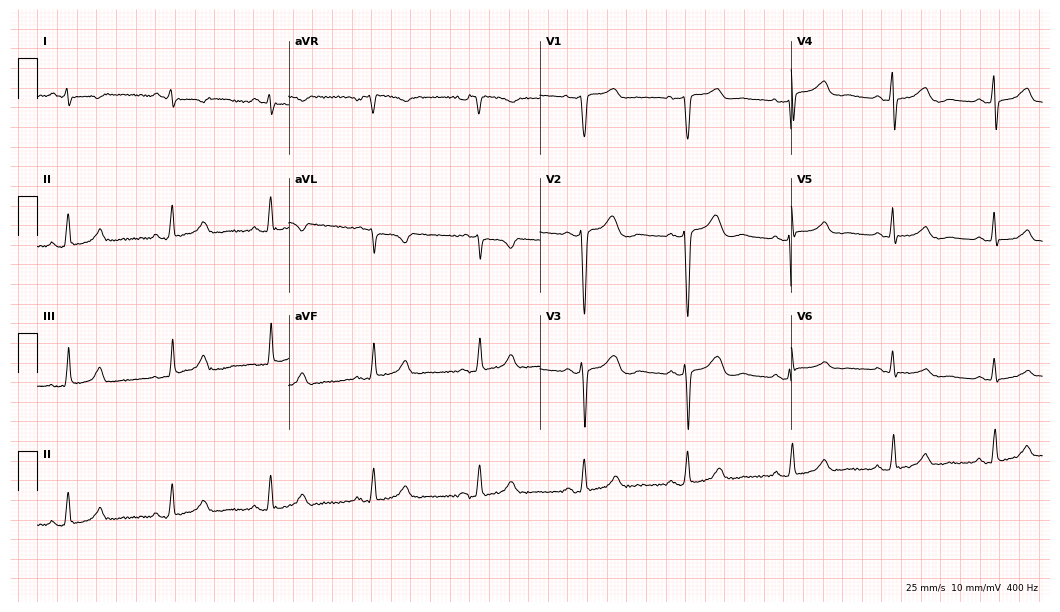
ECG — a 60-year-old woman. Screened for six findings — first-degree AV block, right bundle branch block (RBBB), left bundle branch block (LBBB), sinus bradycardia, atrial fibrillation (AF), sinus tachycardia — none is recorded. Only these six findings were labelled.